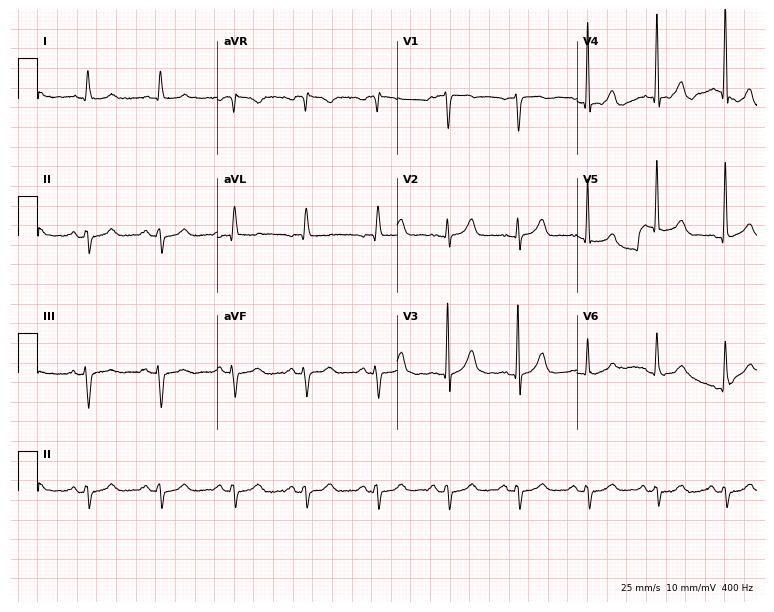
ECG (7.3-second recording at 400 Hz) — an 84-year-old male patient. Screened for six findings — first-degree AV block, right bundle branch block, left bundle branch block, sinus bradycardia, atrial fibrillation, sinus tachycardia — none is recorded. Only these six findings were labelled.